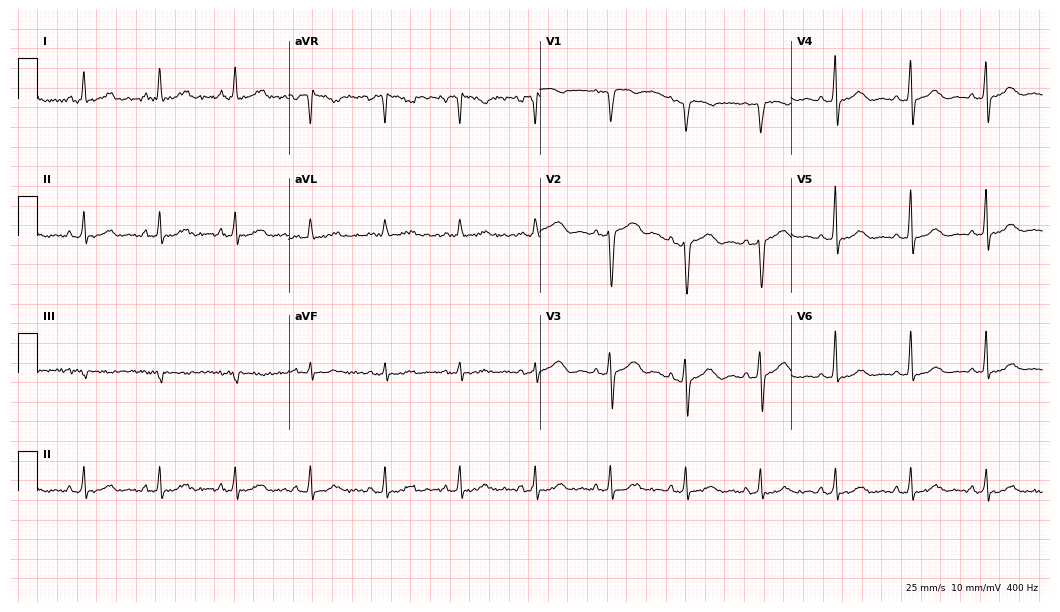
Electrocardiogram, a female patient, 54 years old. Overall reading on record: normal ECG.